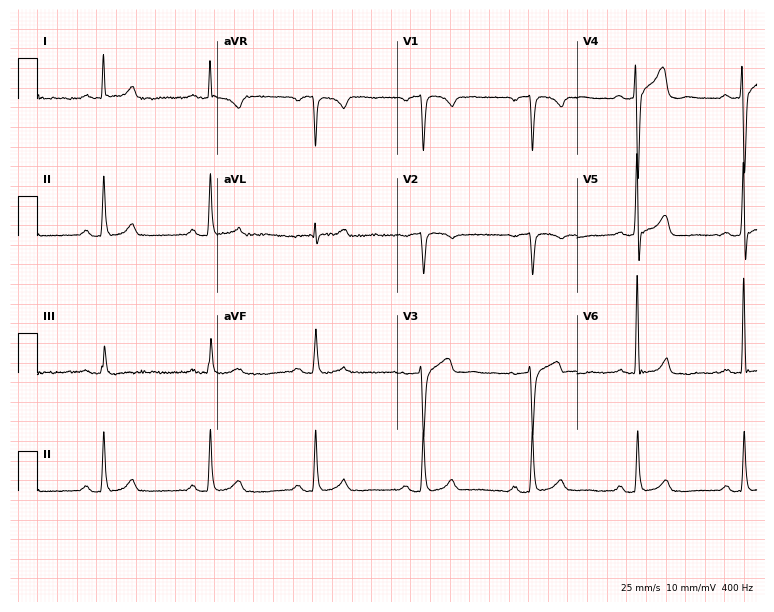
Resting 12-lead electrocardiogram (7.3-second recording at 400 Hz). Patient: a 51-year-old male. None of these six findings is recorded: first-degree AV block, right bundle branch block, left bundle branch block, sinus bradycardia, atrial fibrillation, sinus tachycardia. Findings outside these six are not listed.